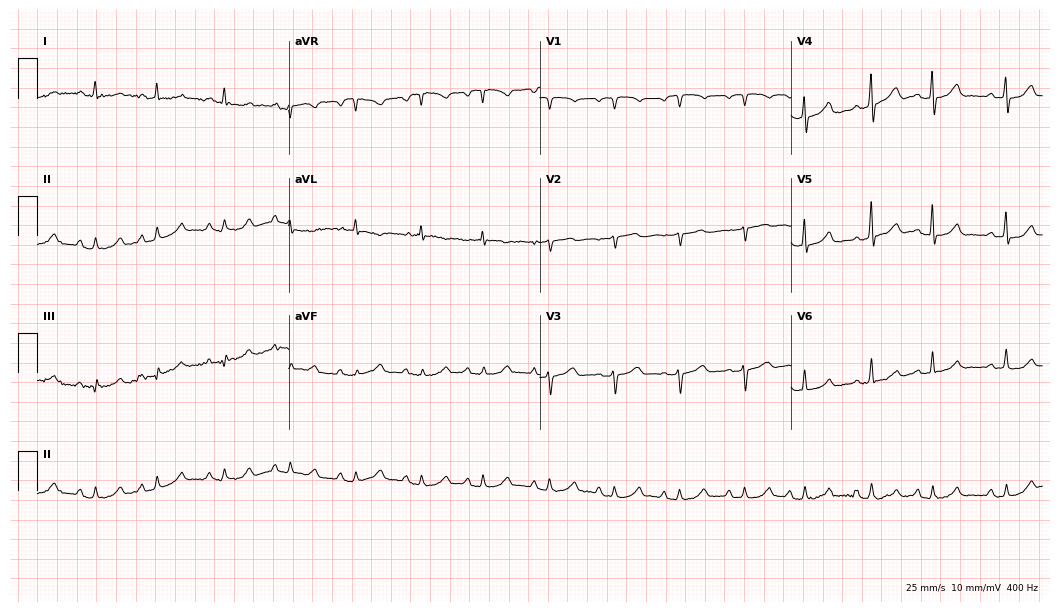
Electrocardiogram (10.2-second recording at 400 Hz), a 76-year-old female. Overall reading on record: normal ECG.